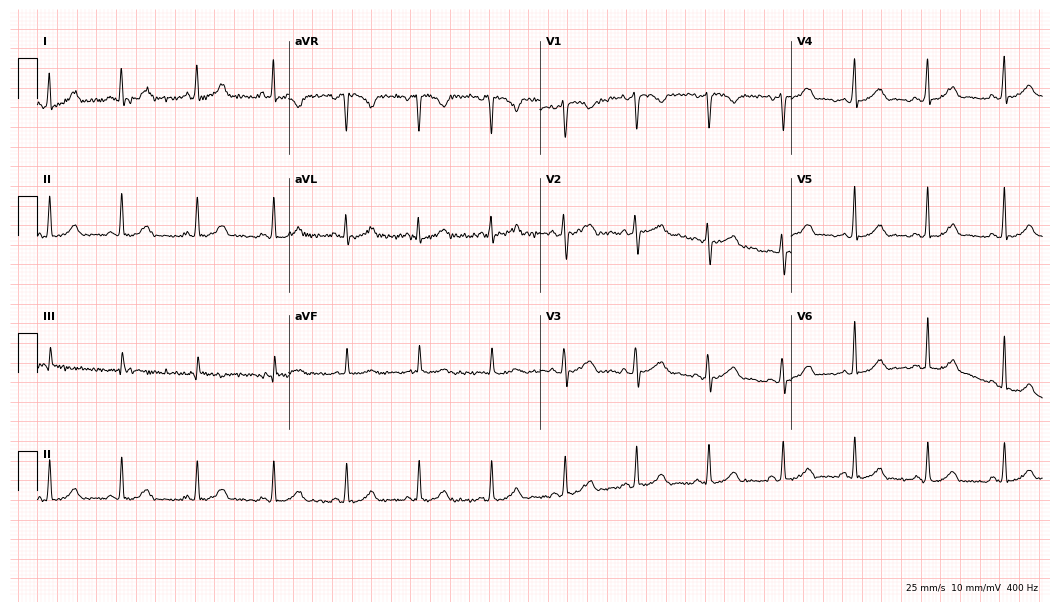
Resting 12-lead electrocardiogram. Patient: a 22-year-old woman. Read as a normal ECG.